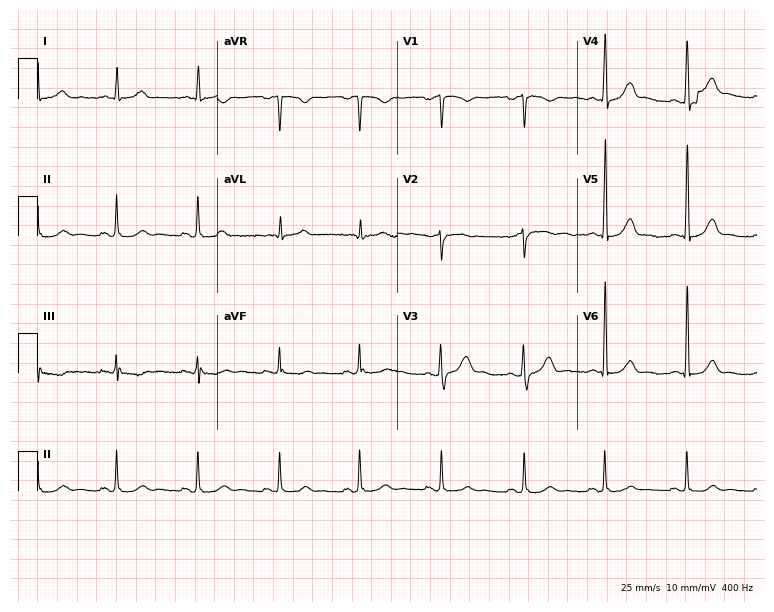
Electrocardiogram, a man, 52 years old. Overall reading on record: normal ECG.